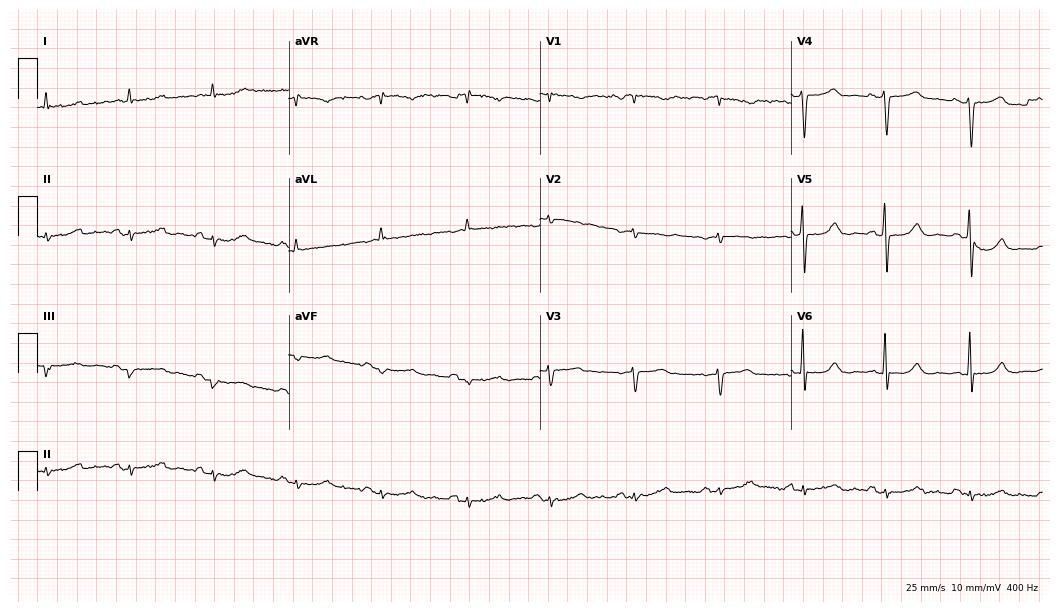
Standard 12-lead ECG recorded from a male patient, 82 years old. None of these six findings is recorded: first-degree AV block, right bundle branch block (RBBB), left bundle branch block (LBBB), sinus bradycardia, atrial fibrillation (AF), sinus tachycardia. Only these six findings were labelled.